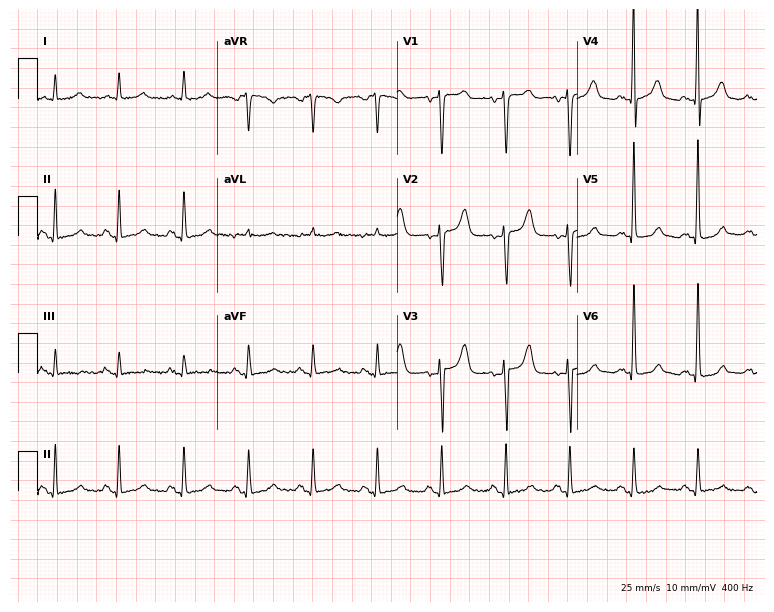
Resting 12-lead electrocardiogram. Patient: a female, 74 years old. Read as a normal ECG.